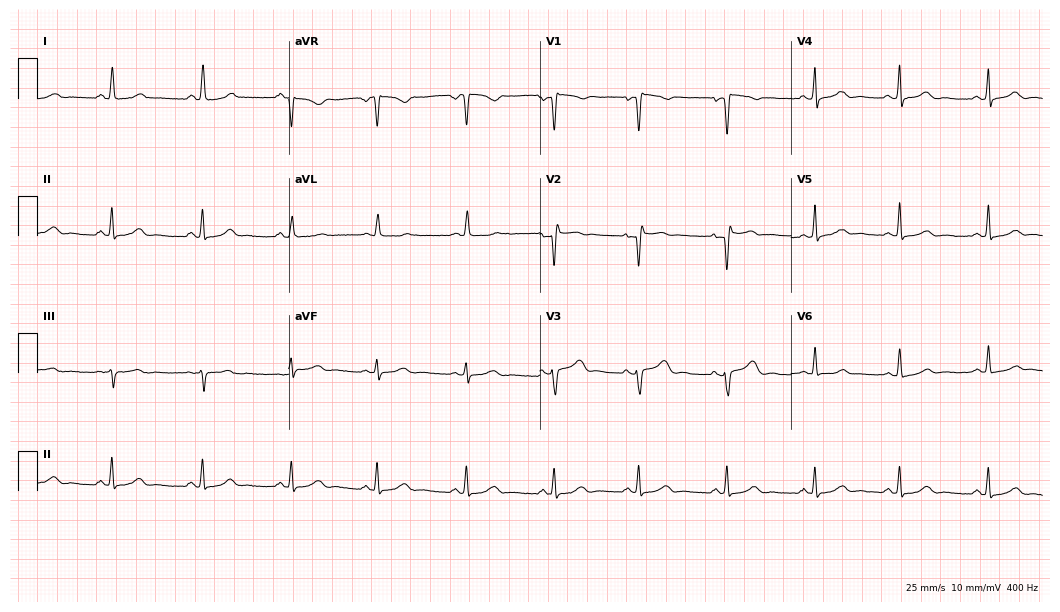
12-lead ECG from a 43-year-old woman (10.2-second recording at 400 Hz). Recorded interpretation: within normal limits.